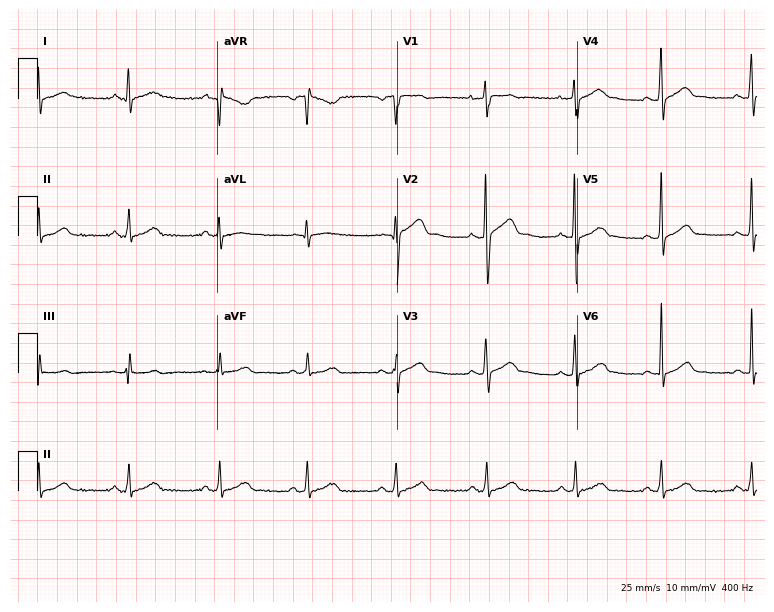
Resting 12-lead electrocardiogram (7.3-second recording at 400 Hz). Patient: a man, 24 years old. Read as a normal ECG.